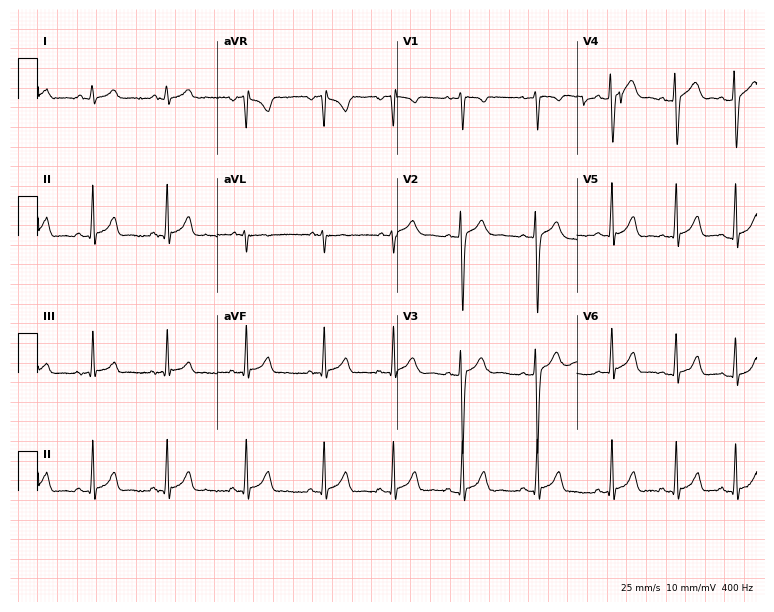
12-lead ECG from a 19-year-old woman. Recorded interpretation: within normal limits.